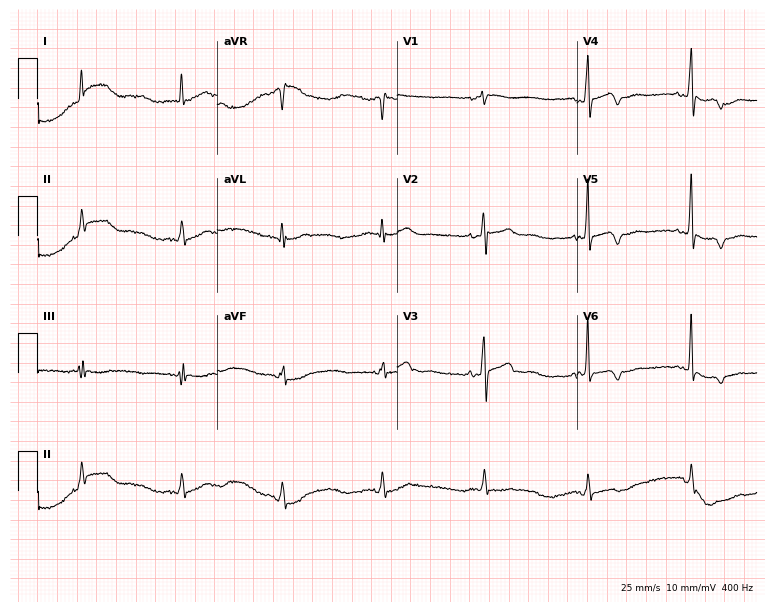
ECG — a man, 74 years old. Screened for six findings — first-degree AV block, right bundle branch block, left bundle branch block, sinus bradycardia, atrial fibrillation, sinus tachycardia — none is recorded. Other findings, if any, are not listed.